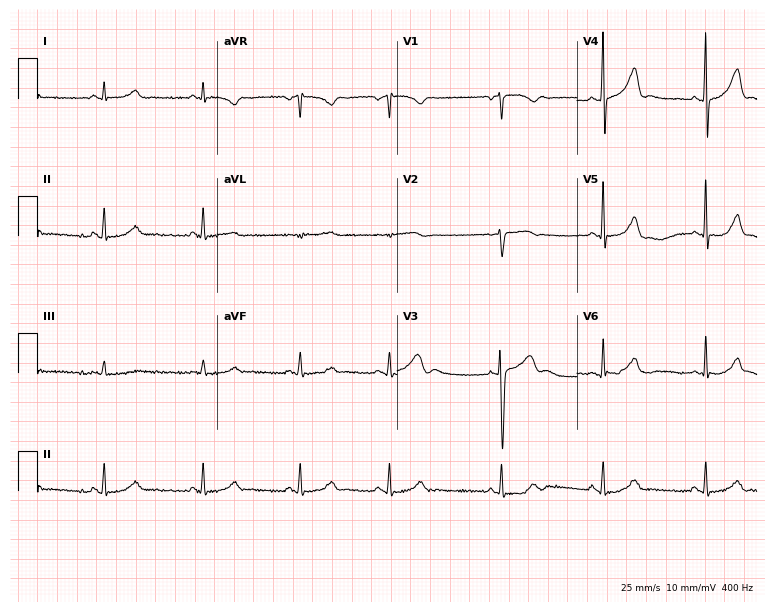
ECG — a woman, 38 years old. Labelled as a normal ECG.